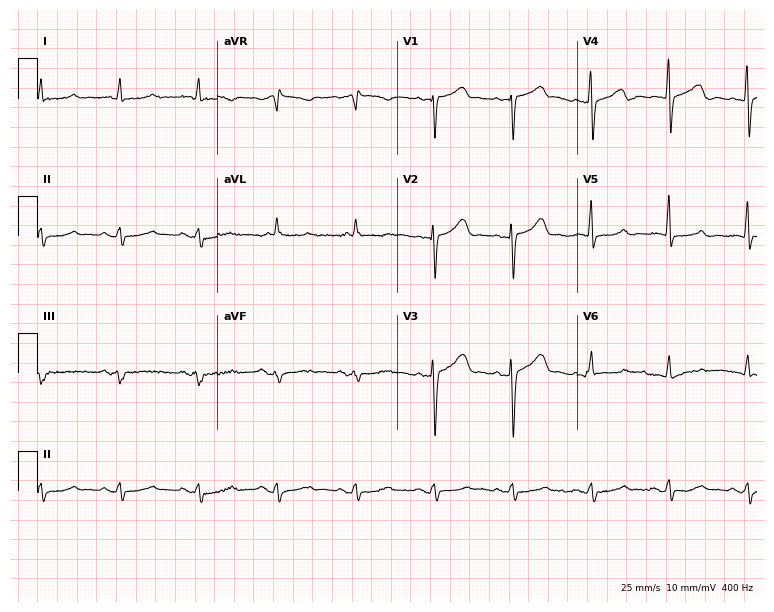
12-lead ECG from a woman, 84 years old (7.3-second recording at 400 Hz). Recorded interpretation: within normal limits.